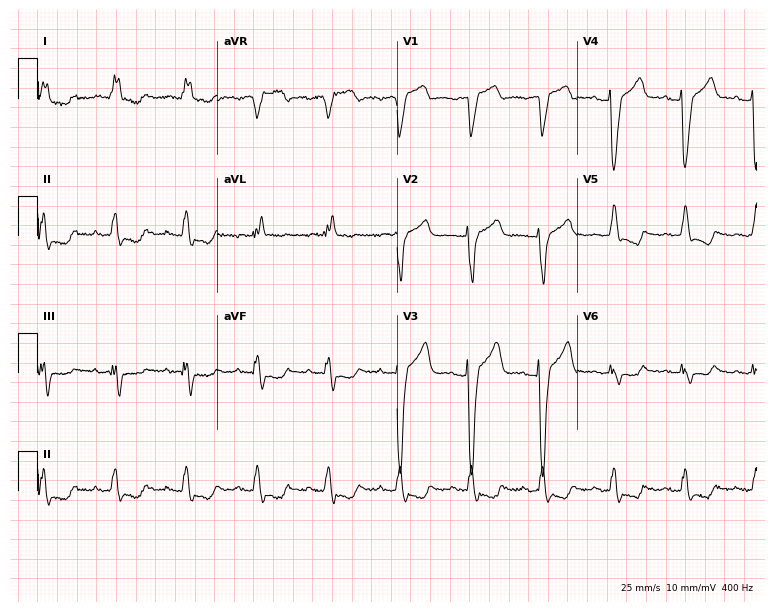
12-lead ECG from an 81-year-old male. Shows left bundle branch block.